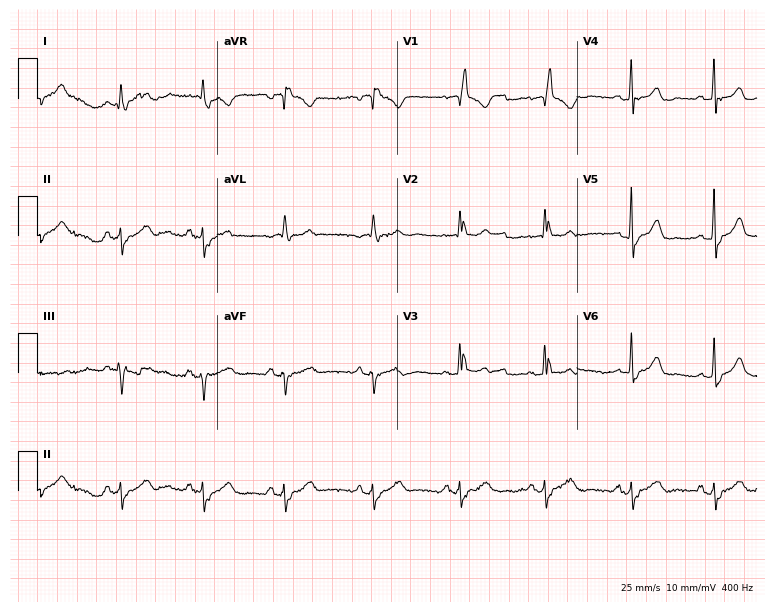
ECG (7.3-second recording at 400 Hz) — a female patient, 80 years old. Findings include right bundle branch block.